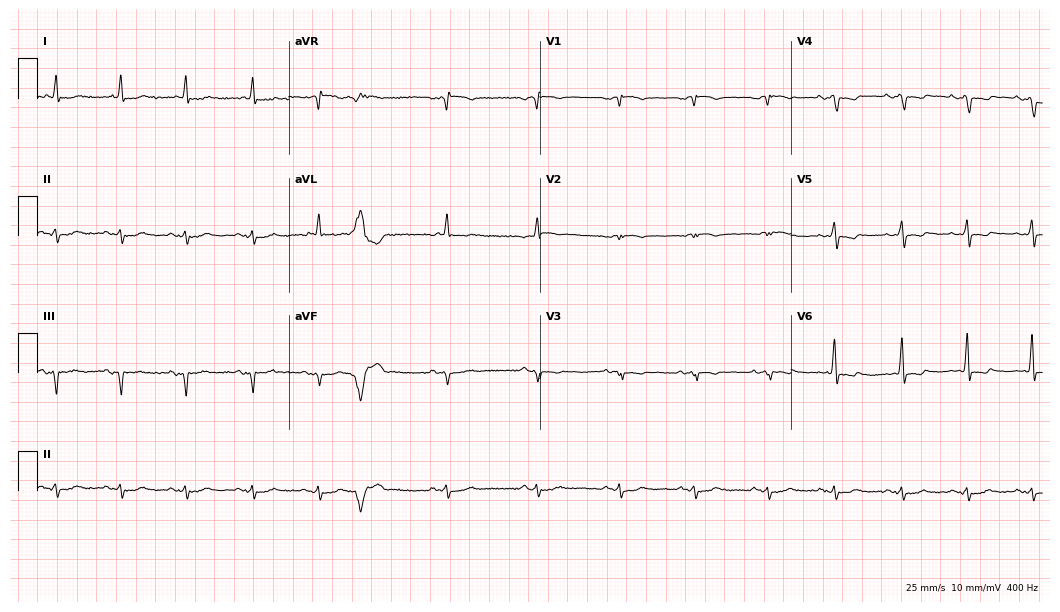
12-lead ECG from a male, 84 years old. No first-degree AV block, right bundle branch block, left bundle branch block, sinus bradycardia, atrial fibrillation or sinus tachycardia recorded for this tracing.